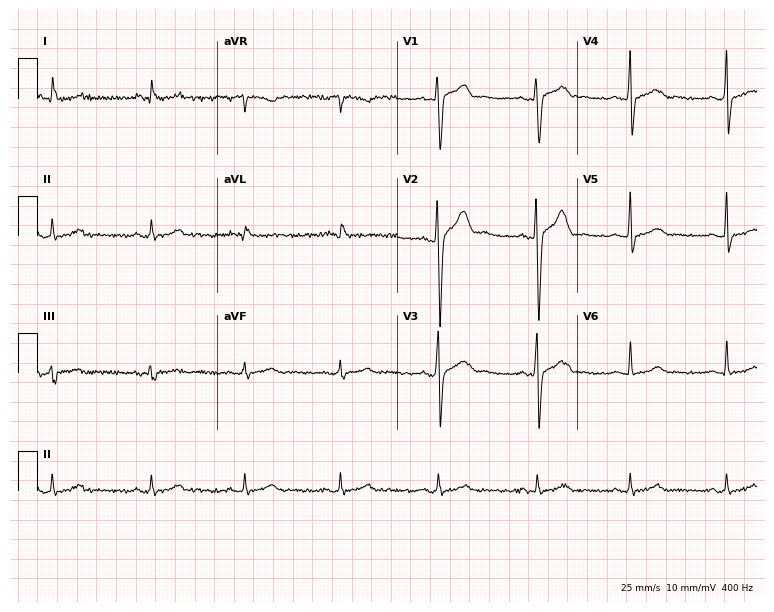
Resting 12-lead electrocardiogram. Patient: a male, 38 years old. Read as a normal ECG.